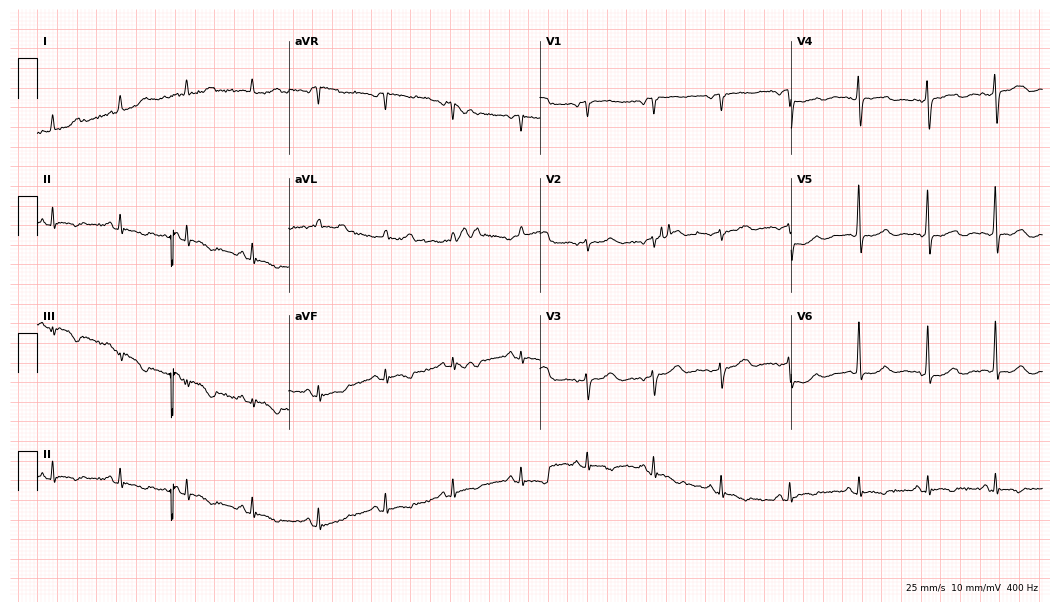
12-lead ECG from a female patient, 71 years old. No first-degree AV block, right bundle branch block (RBBB), left bundle branch block (LBBB), sinus bradycardia, atrial fibrillation (AF) or sinus tachycardia recorded for this tracing.